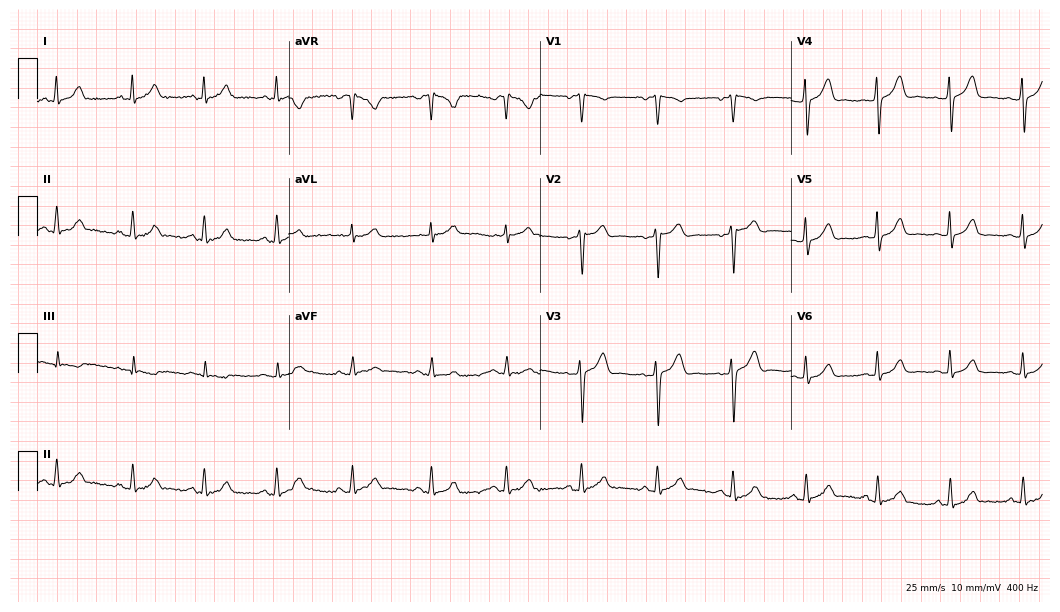
Electrocardiogram, a female, 31 years old. Overall reading on record: normal ECG.